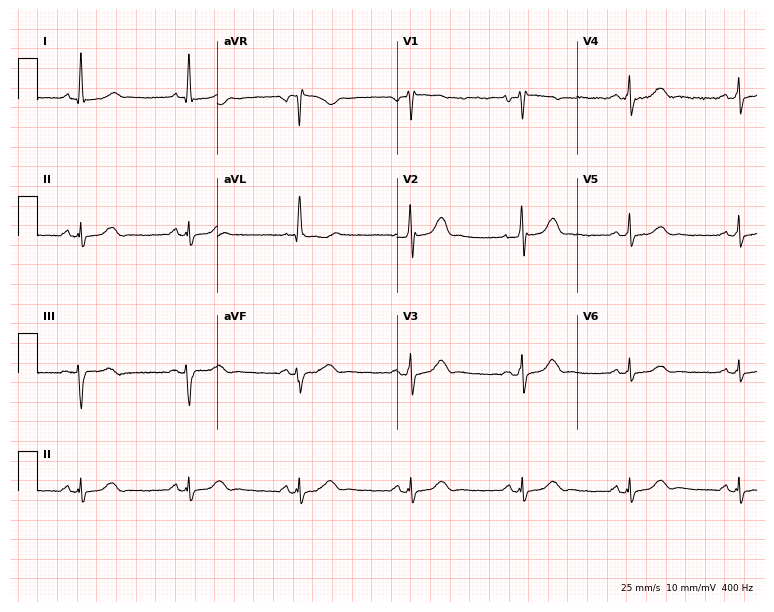
Resting 12-lead electrocardiogram. Patient: a 62-year-old female. None of these six findings is recorded: first-degree AV block, right bundle branch block, left bundle branch block, sinus bradycardia, atrial fibrillation, sinus tachycardia. Findings outside these six are not listed.